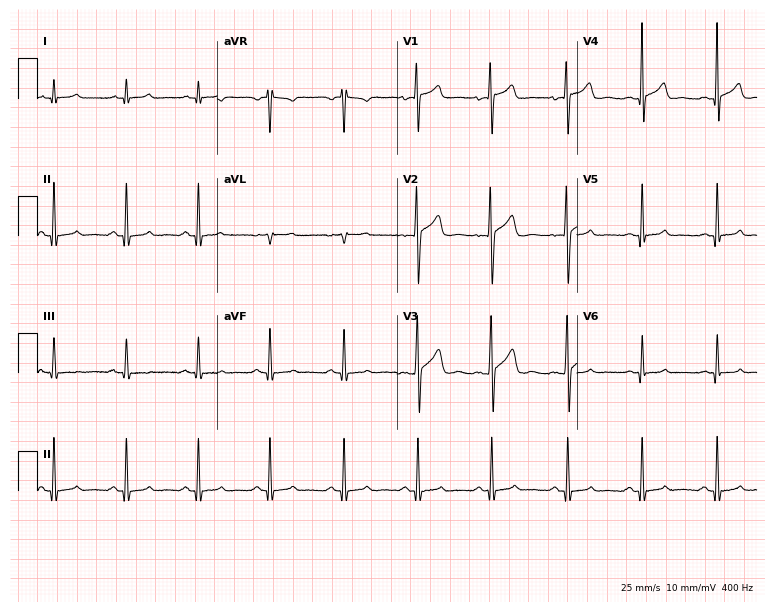
12-lead ECG from a 44-year-old male patient (7.3-second recording at 400 Hz). Recorded interpretation: within normal limits.